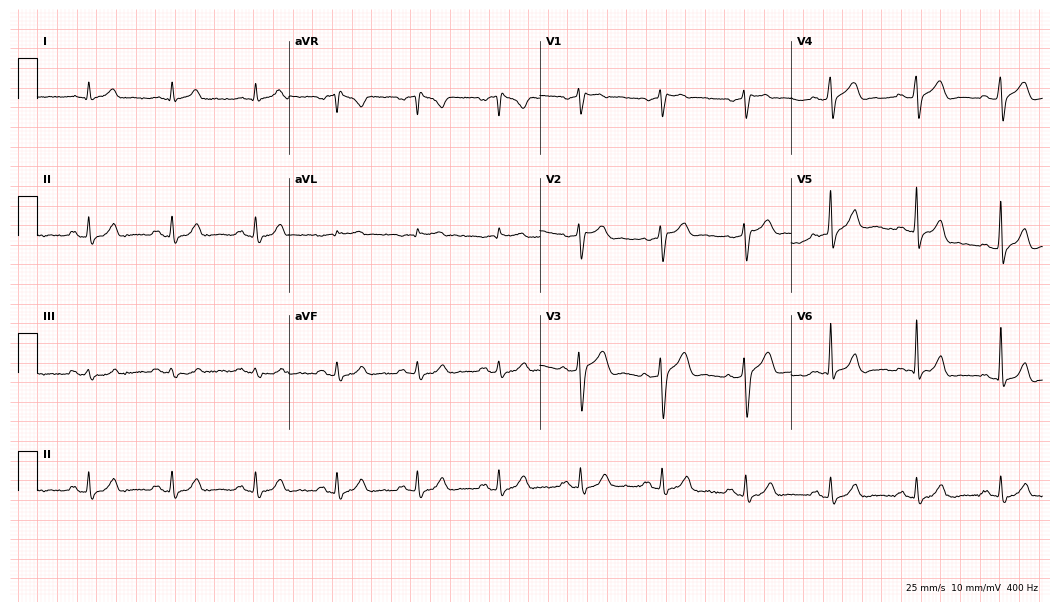
12-lead ECG from a man, 63 years old. No first-degree AV block, right bundle branch block (RBBB), left bundle branch block (LBBB), sinus bradycardia, atrial fibrillation (AF) or sinus tachycardia recorded for this tracing.